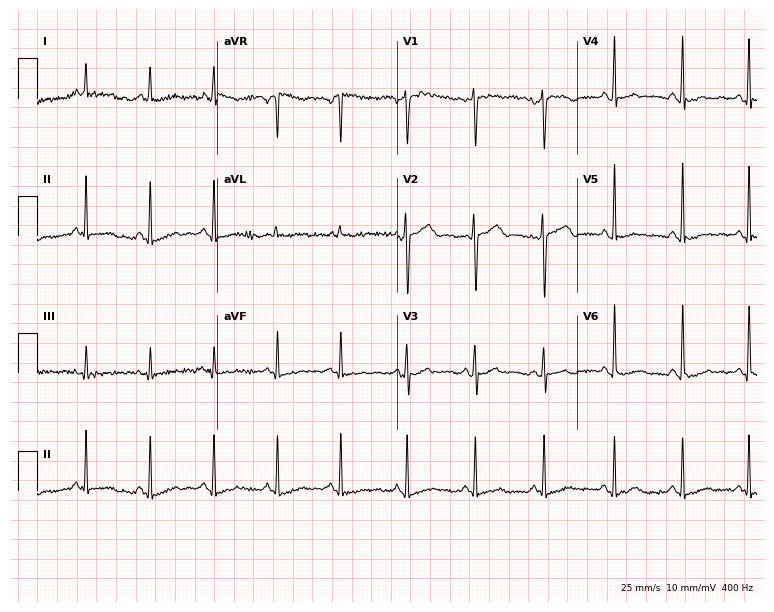
Electrocardiogram, a 45-year-old female. Overall reading on record: normal ECG.